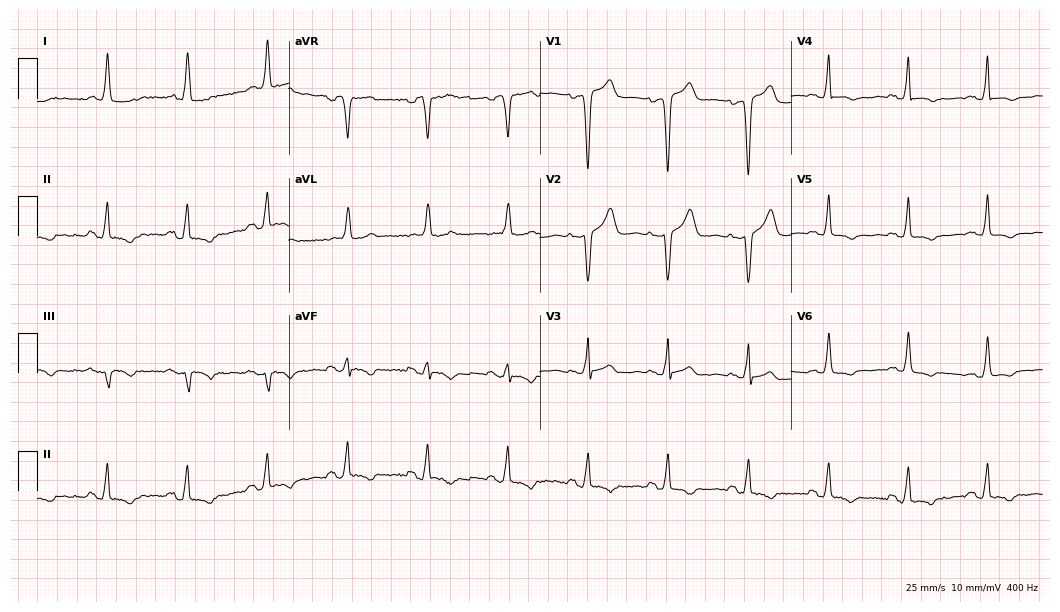
Standard 12-lead ECG recorded from a female patient, 75 years old (10.2-second recording at 400 Hz). None of these six findings is recorded: first-degree AV block, right bundle branch block, left bundle branch block, sinus bradycardia, atrial fibrillation, sinus tachycardia. Only these six findings were labelled.